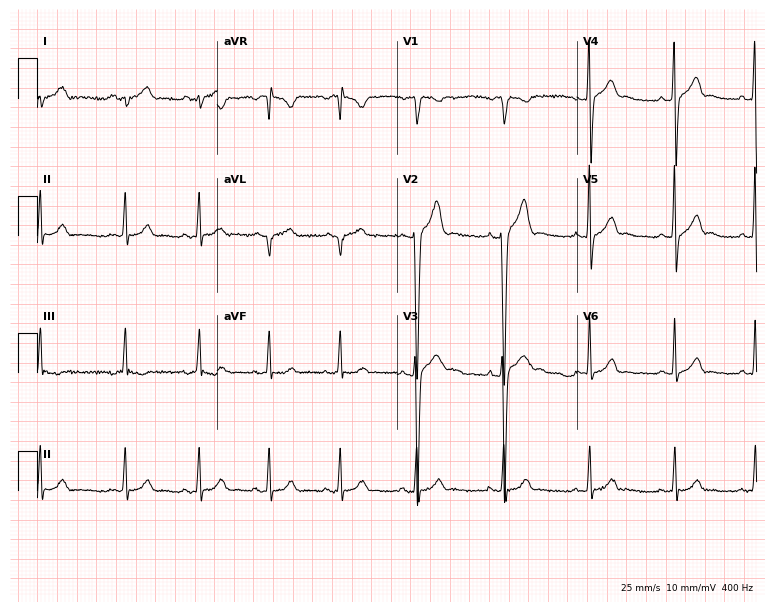
ECG — a man, 18 years old. Screened for six findings — first-degree AV block, right bundle branch block (RBBB), left bundle branch block (LBBB), sinus bradycardia, atrial fibrillation (AF), sinus tachycardia — none is recorded.